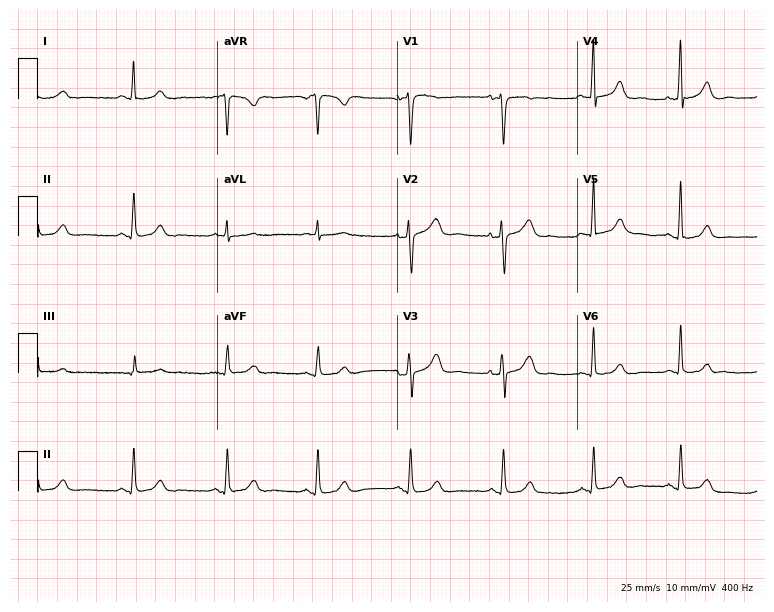
Electrocardiogram (7.3-second recording at 400 Hz), a 44-year-old woman. Overall reading on record: normal ECG.